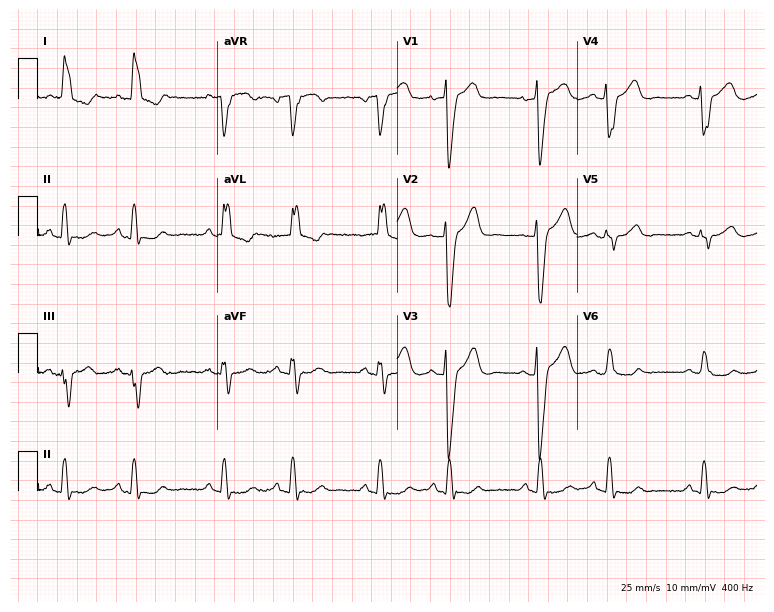
Standard 12-lead ECG recorded from a woman, 67 years old. The tracing shows left bundle branch block.